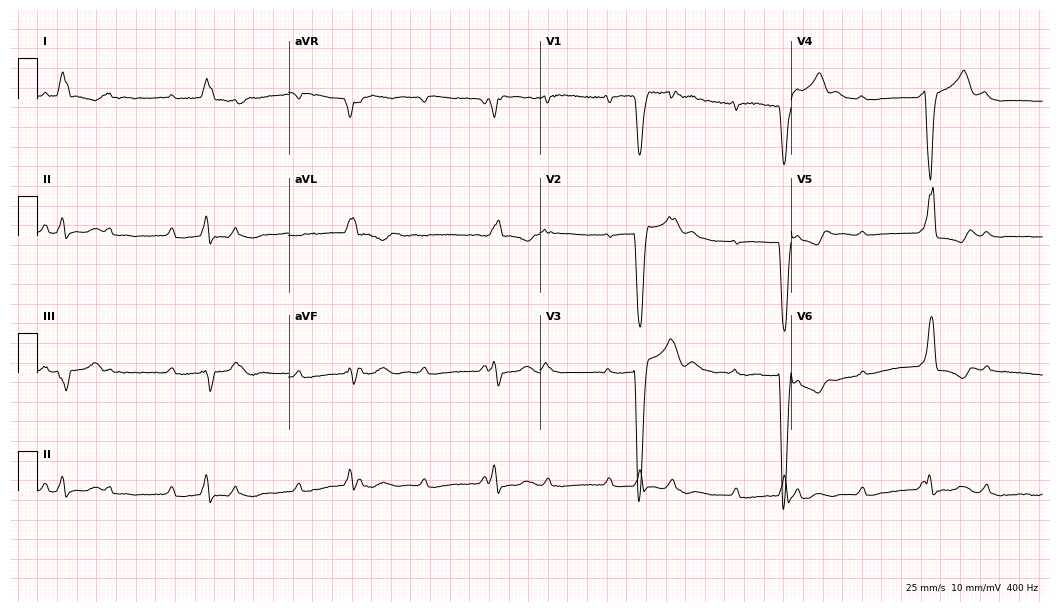
12-lead ECG from a 67-year-old woman (10.2-second recording at 400 Hz). Shows left bundle branch block.